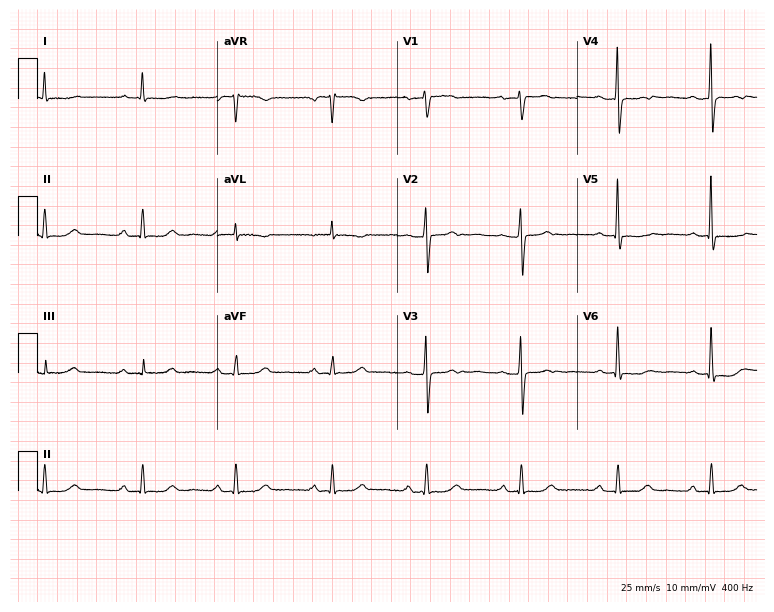
Resting 12-lead electrocardiogram. Patient: a female, 64 years old. None of these six findings is recorded: first-degree AV block, right bundle branch block, left bundle branch block, sinus bradycardia, atrial fibrillation, sinus tachycardia.